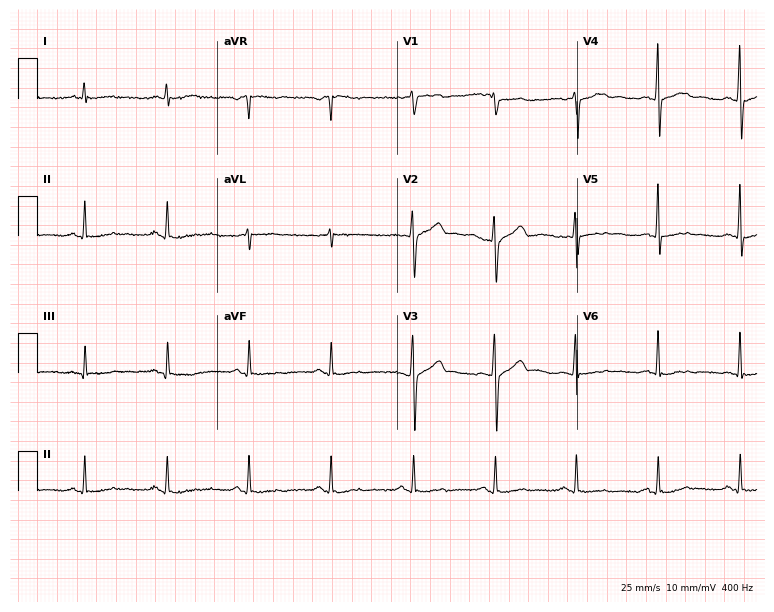
ECG (7.3-second recording at 400 Hz) — a male, 59 years old. Screened for six findings — first-degree AV block, right bundle branch block (RBBB), left bundle branch block (LBBB), sinus bradycardia, atrial fibrillation (AF), sinus tachycardia — none is recorded.